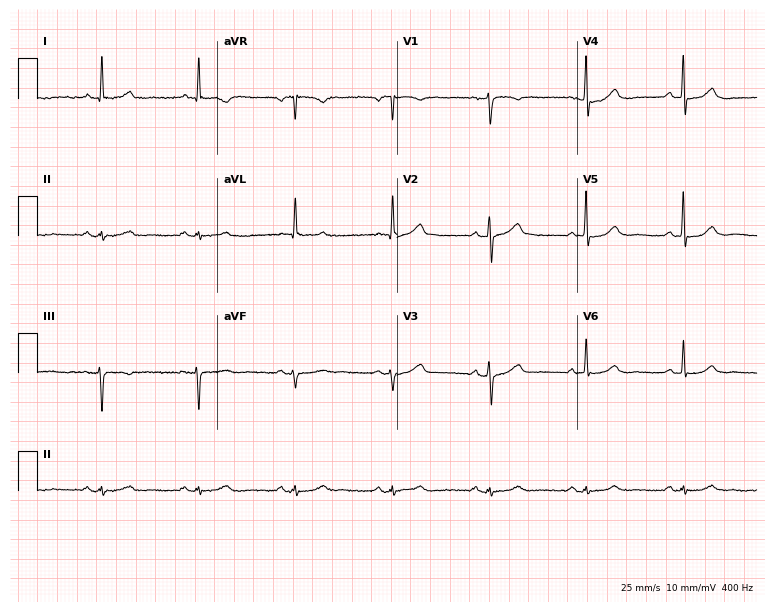
Standard 12-lead ECG recorded from a male, 82 years old. Read as a normal ECG.